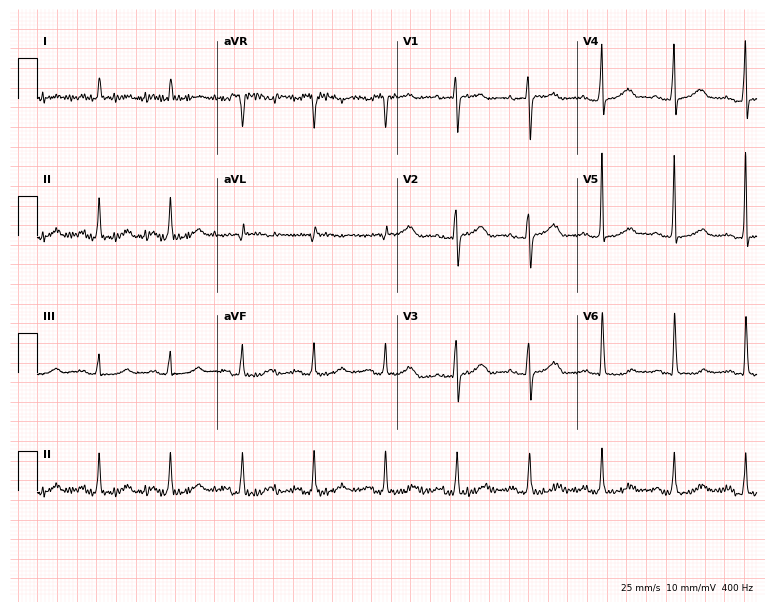
Standard 12-lead ECG recorded from a female, 60 years old (7.3-second recording at 400 Hz). Read as a normal ECG.